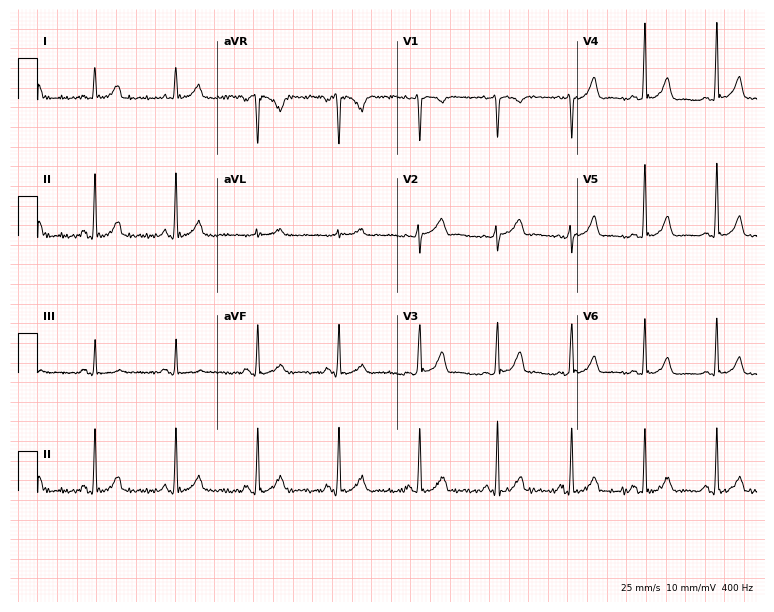
Electrocardiogram (7.3-second recording at 400 Hz), a woman, 38 years old. Overall reading on record: normal ECG.